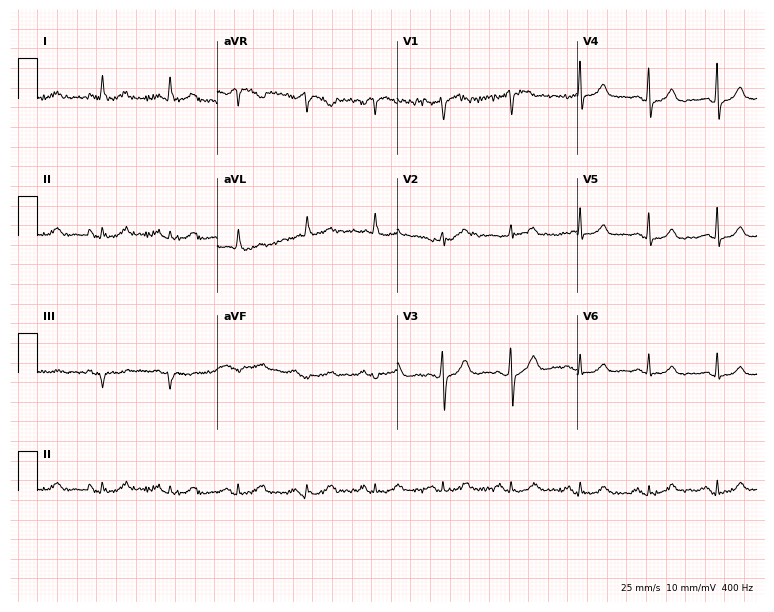
Electrocardiogram, a female patient, 75 years old. Overall reading on record: normal ECG.